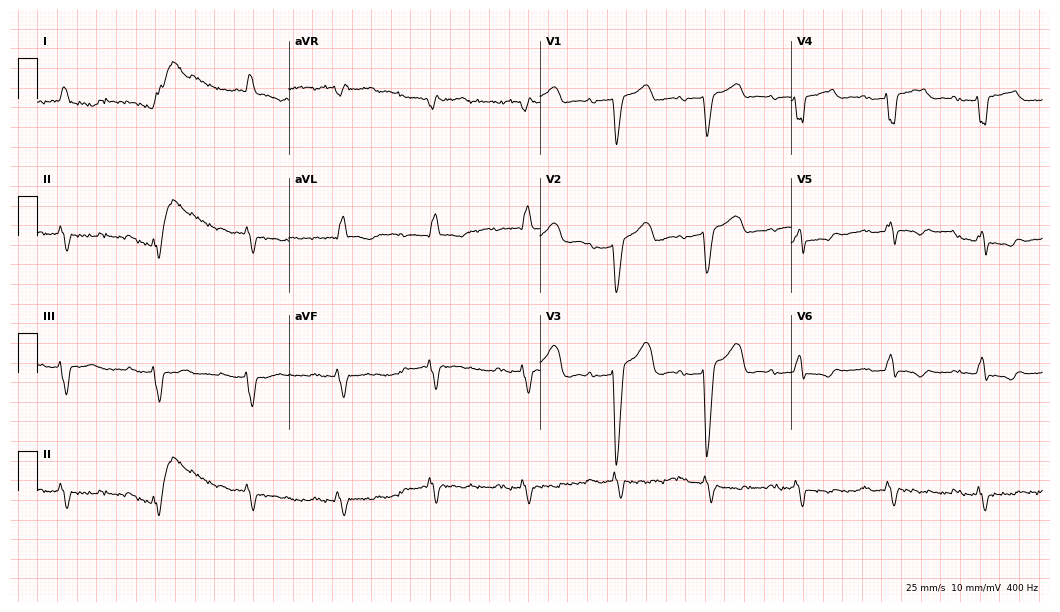
ECG (10.2-second recording at 400 Hz) — a male, 75 years old. Findings include first-degree AV block, left bundle branch block.